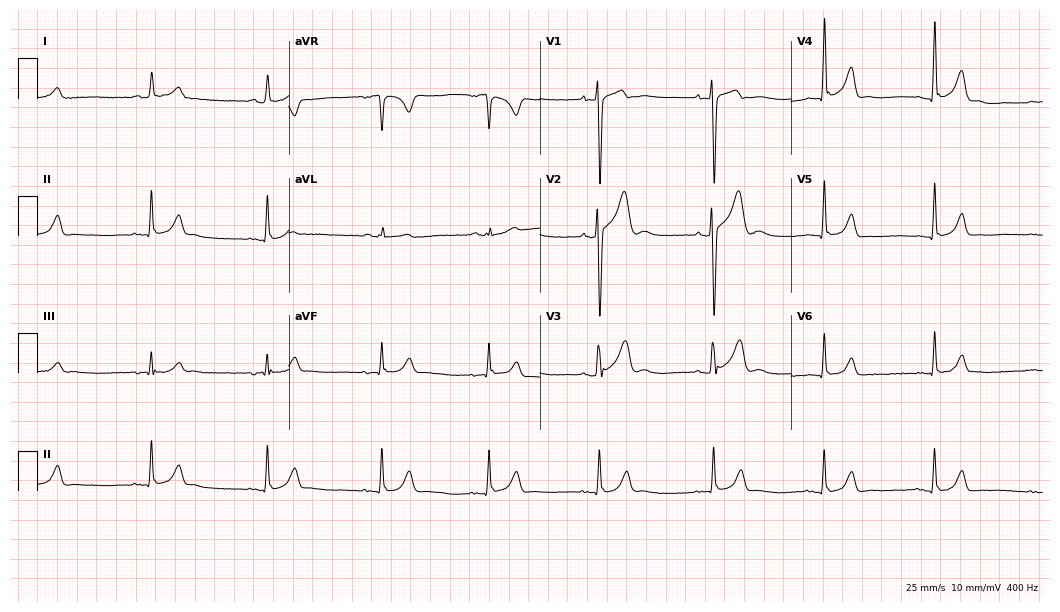
Electrocardiogram, an 18-year-old man. Overall reading on record: normal ECG.